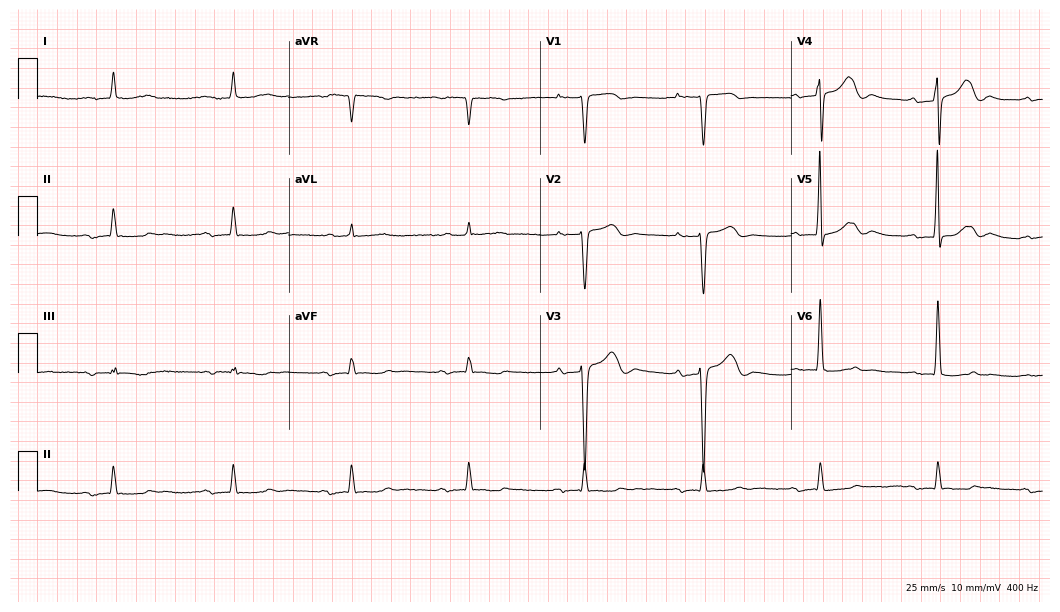
Resting 12-lead electrocardiogram. Patient: an 82-year-old woman. The tracing shows first-degree AV block.